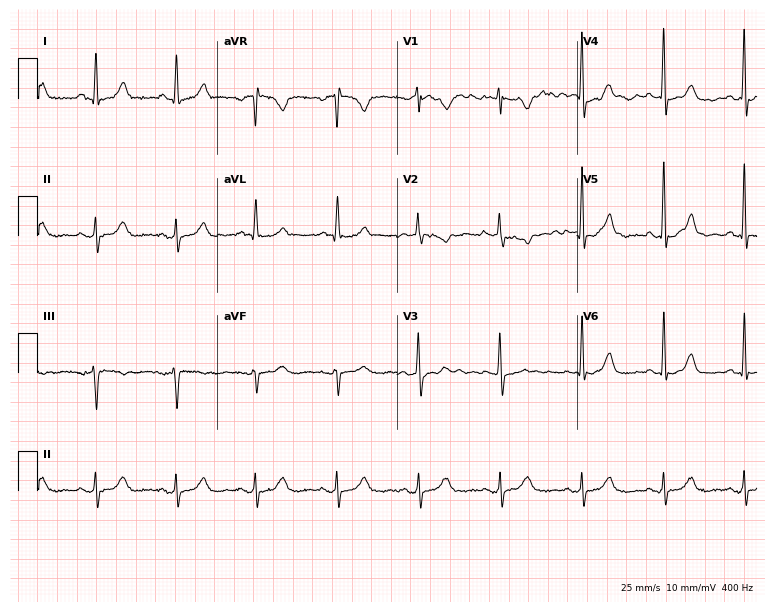
Resting 12-lead electrocardiogram. Patient: a 67-year-old female. None of these six findings is recorded: first-degree AV block, right bundle branch block, left bundle branch block, sinus bradycardia, atrial fibrillation, sinus tachycardia. Findings outside these six are not listed.